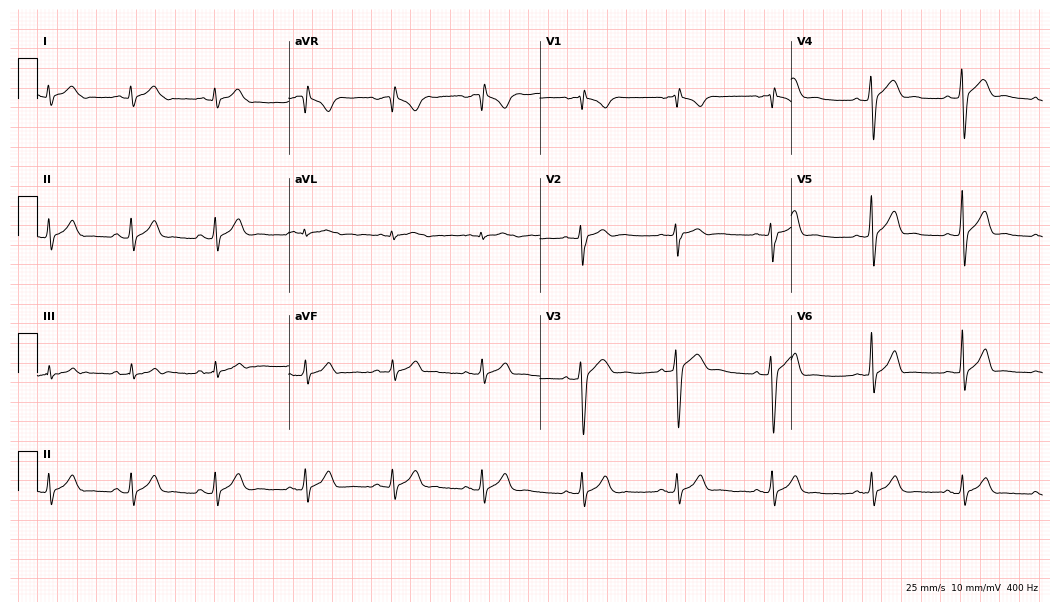
12-lead ECG (10.2-second recording at 400 Hz) from a male patient, 20 years old. Screened for six findings — first-degree AV block, right bundle branch block (RBBB), left bundle branch block (LBBB), sinus bradycardia, atrial fibrillation (AF), sinus tachycardia — none is recorded. Only these six findings were labelled.